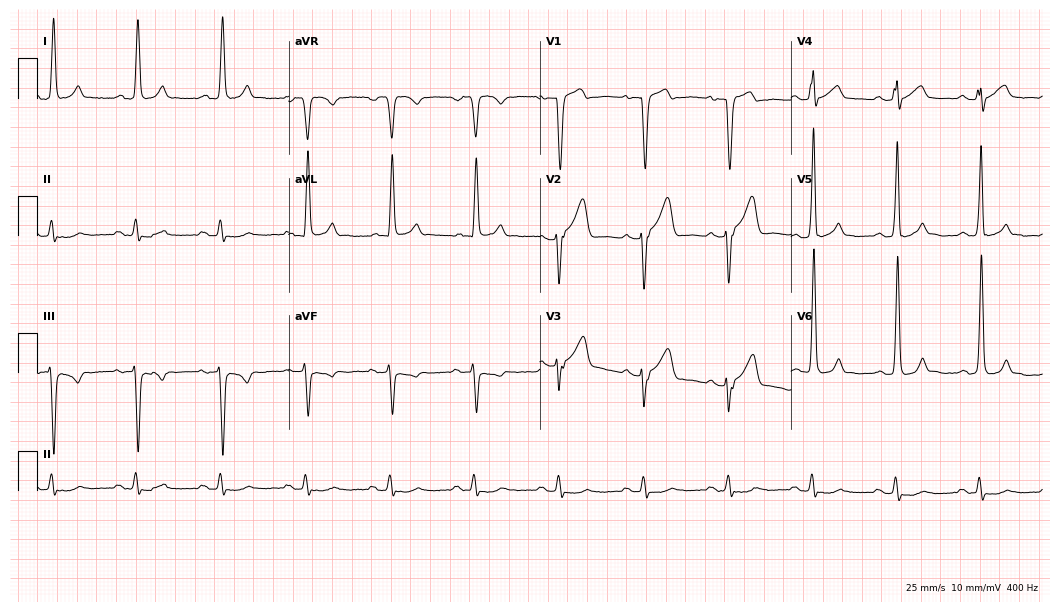
ECG — a female patient, 66 years old. Screened for six findings — first-degree AV block, right bundle branch block, left bundle branch block, sinus bradycardia, atrial fibrillation, sinus tachycardia — none is recorded.